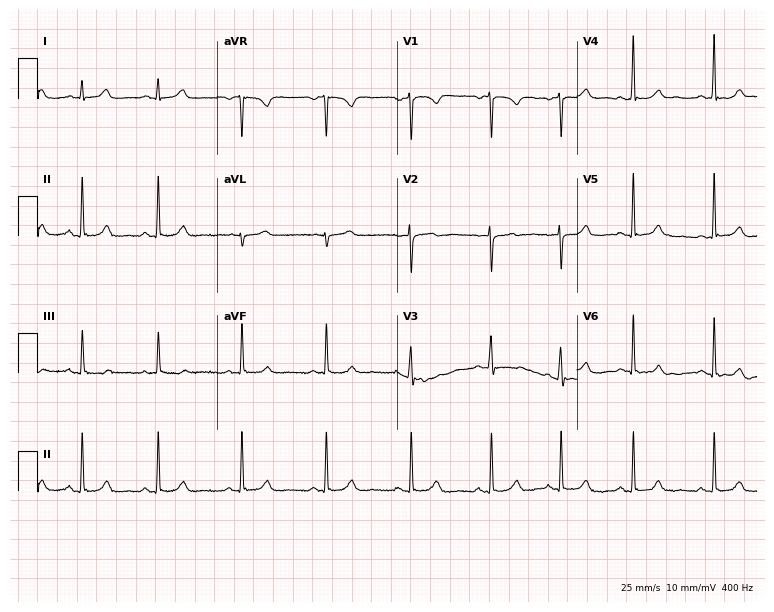
ECG — a 29-year-old woman. Labelled as a normal ECG.